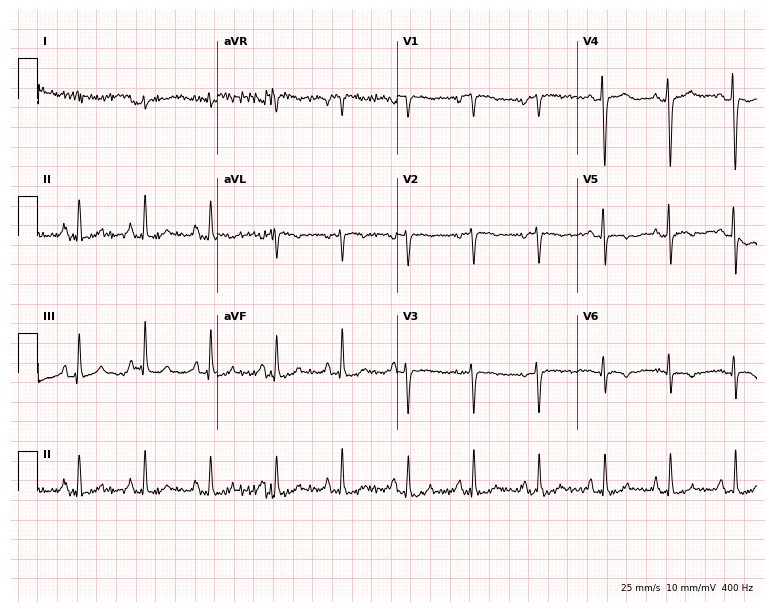
Resting 12-lead electrocardiogram (7.3-second recording at 400 Hz). Patient: an 84-year-old man. None of these six findings is recorded: first-degree AV block, right bundle branch block, left bundle branch block, sinus bradycardia, atrial fibrillation, sinus tachycardia. Findings outside these six are not listed.